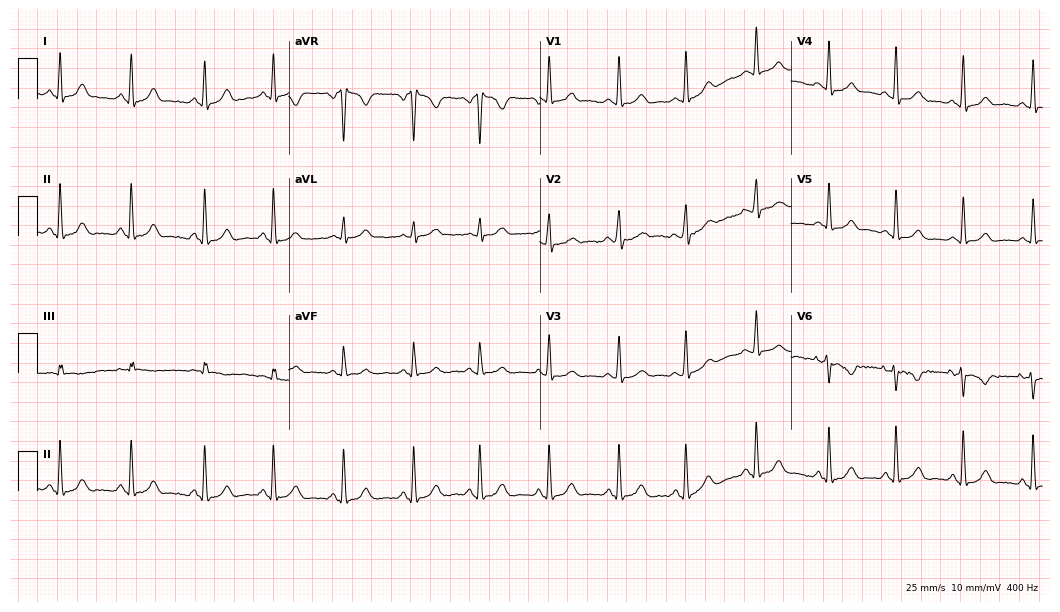
12-lead ECG (10.2-second recording at 400 Hz) from a female patient, 26 years old. Labelled as a normal ECG.